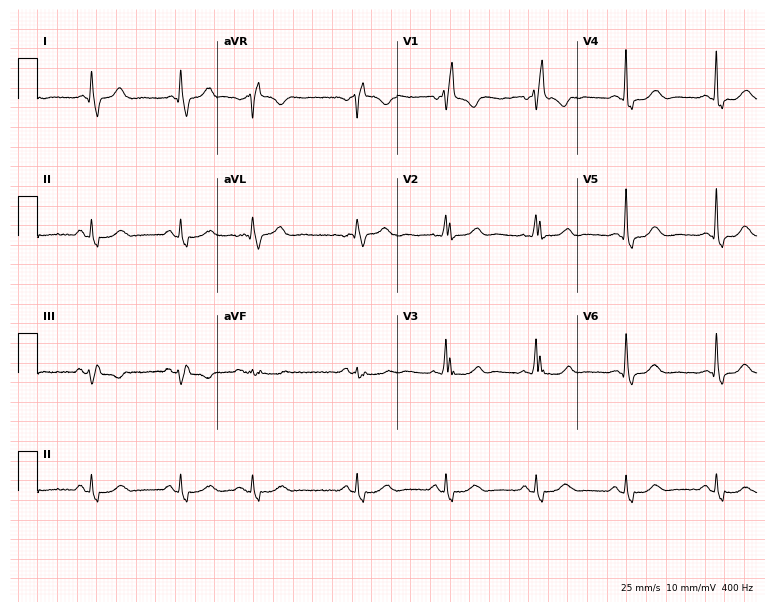
Electrocardiogram, a 69-year-old female patient. Interpretation includes right bundle branch block.